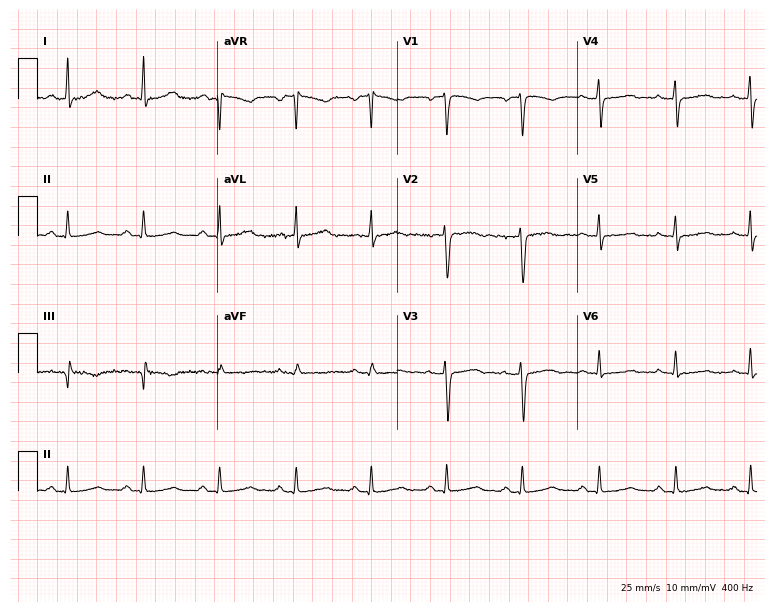
12-lead ECG from a female, 44 years old. Screened for six findings — first-degree AV block, right bundle branch block, left bundle branch block, sinus bradycardia, atrial fibrillation, sinus tachycardia — none is recorded.